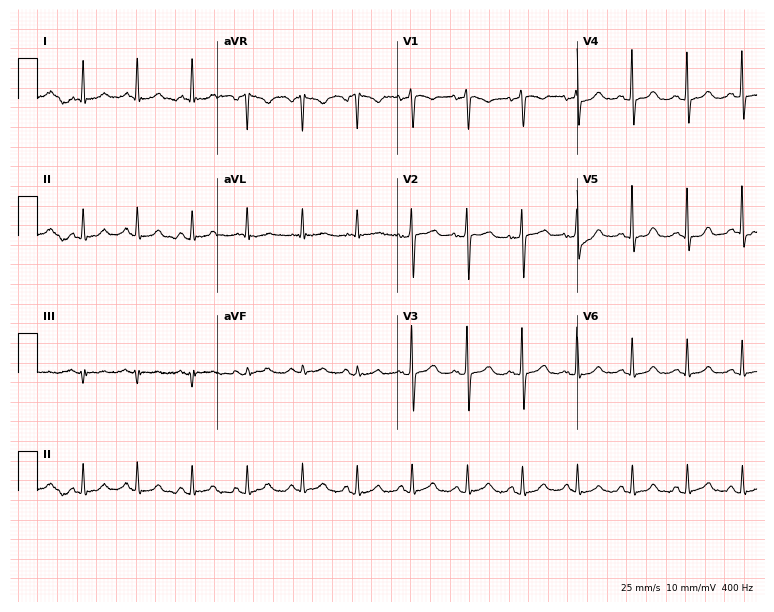
12-lead ECG from a 72-year-old female patient. Findings include sinus tachycardia (a sinus rate of 100 beats per minute or more).